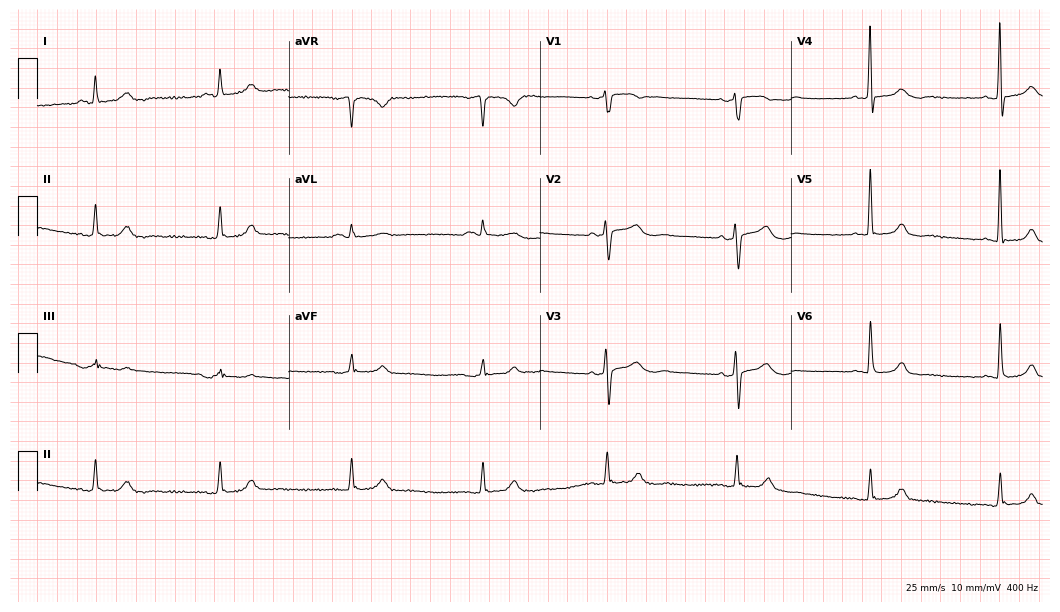
Resting 12-lead electrocardiogram. Patient: a 79-year-old female. Read as a normal ECG.